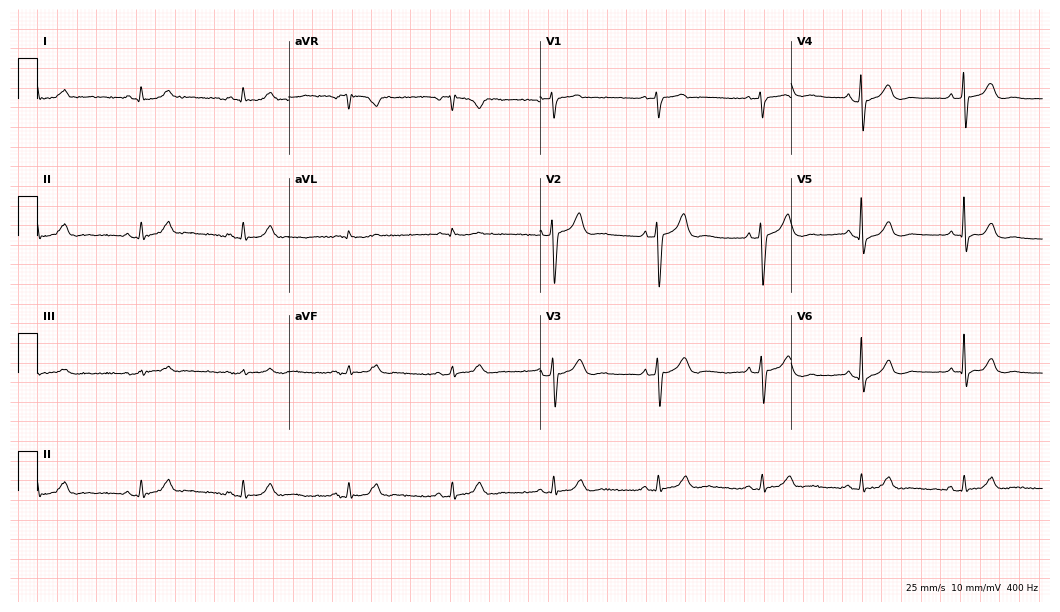
Electrocardiogram (10.2-second recording at 400 Hz), a 62-year-old man. Overall reading on record: normal ECG.